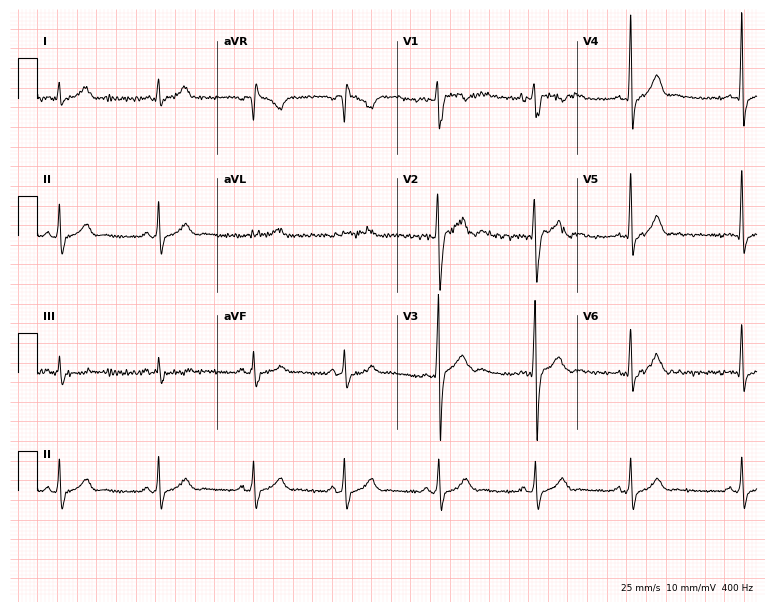
ECG — a 19-year-old male. Screened for six findings — first-degree AV block, right bundle branch block (RBBB), left bundle branch block (LBBB), sinus bradycardia, atrial fibrillation (AF), sinus tachycardia — none is recorded.